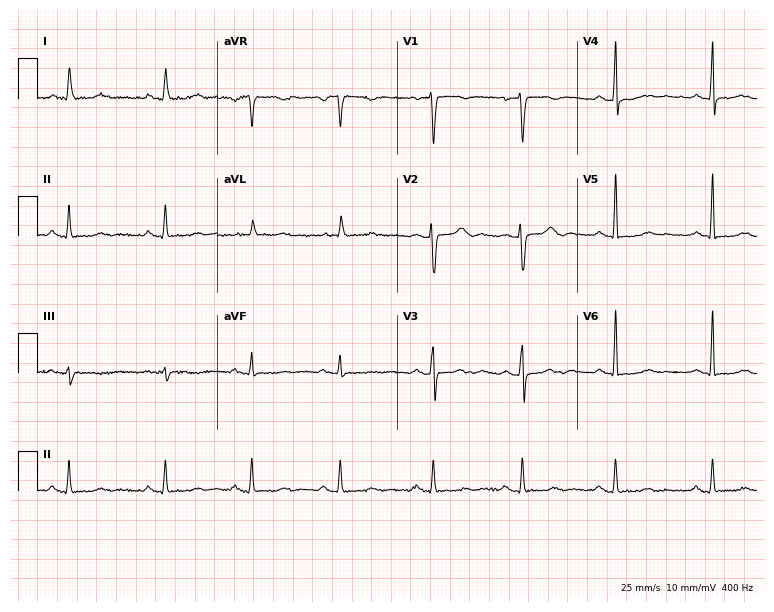
Standard 12-lead ECG recorded from a female, 41 years old. None of these six findings is recorded: first-degree AV block, right bundle branch block, left bundle branch block, sinus bradycardia, atrial fibrillation, sinus tachycardia.